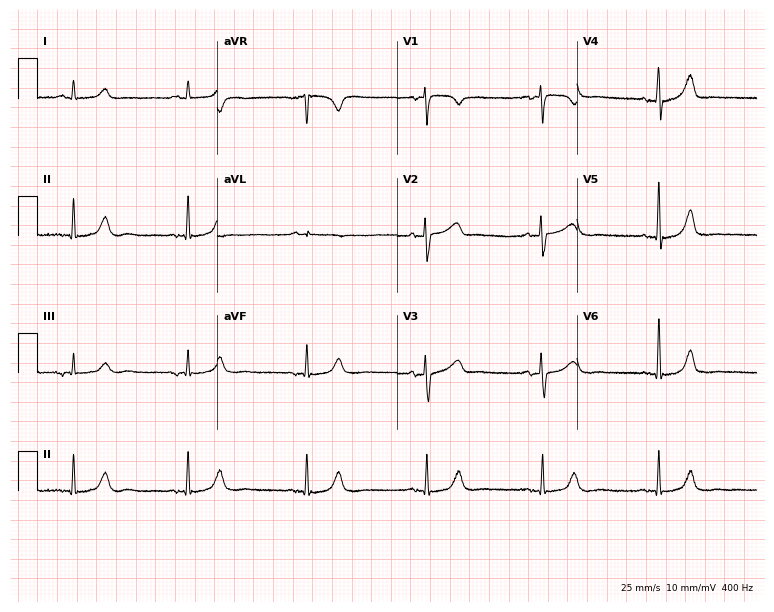
12-lead ECG from a 54-year-old woman. Shows sinus bradycardia (a sinus rate of 50 beats per minute or less).